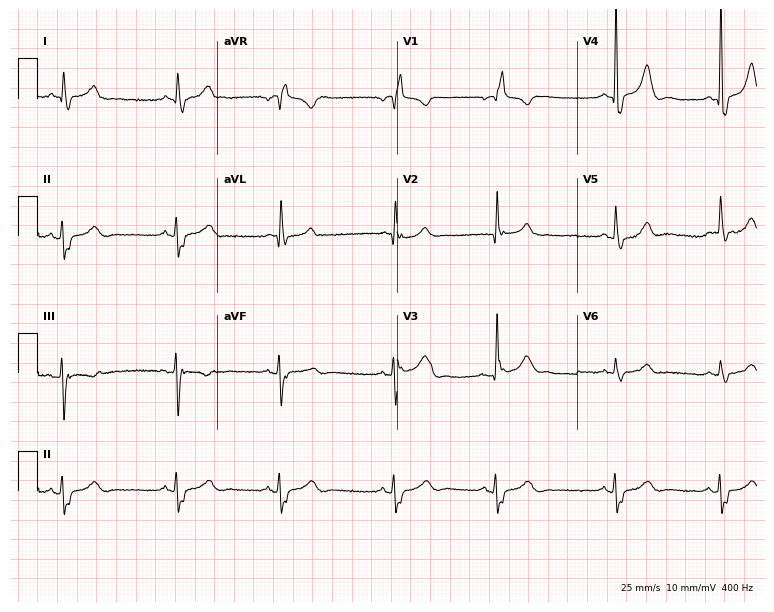
12-lead ECG (7.3-second recording at 400 Hz) from a female, 31 years old. Findings include right bundle branch block.